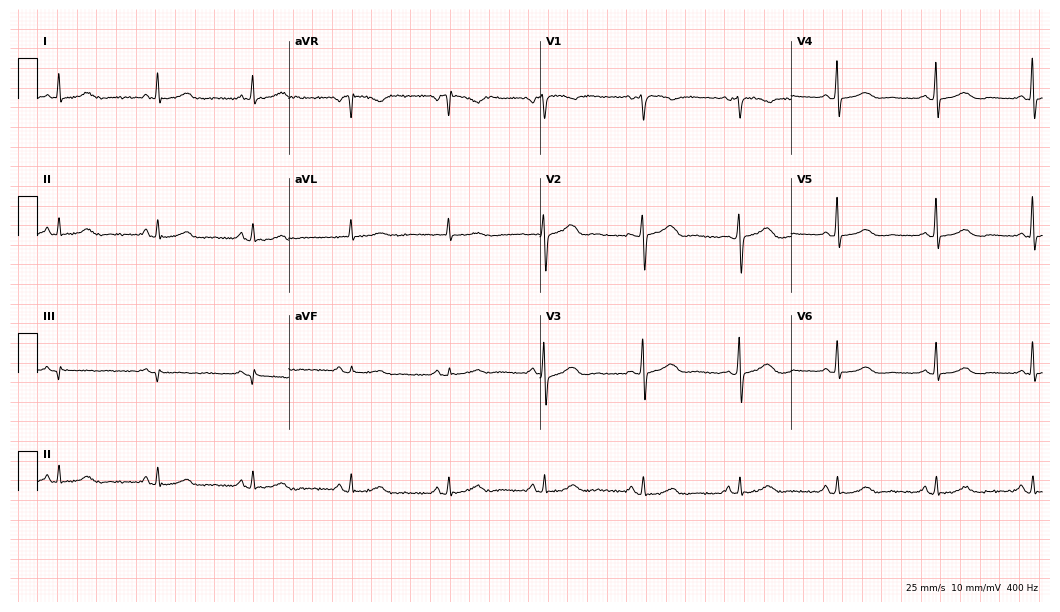
12-lead ECG from a female, 67 years old. Recorded interpretation: within normal limits.